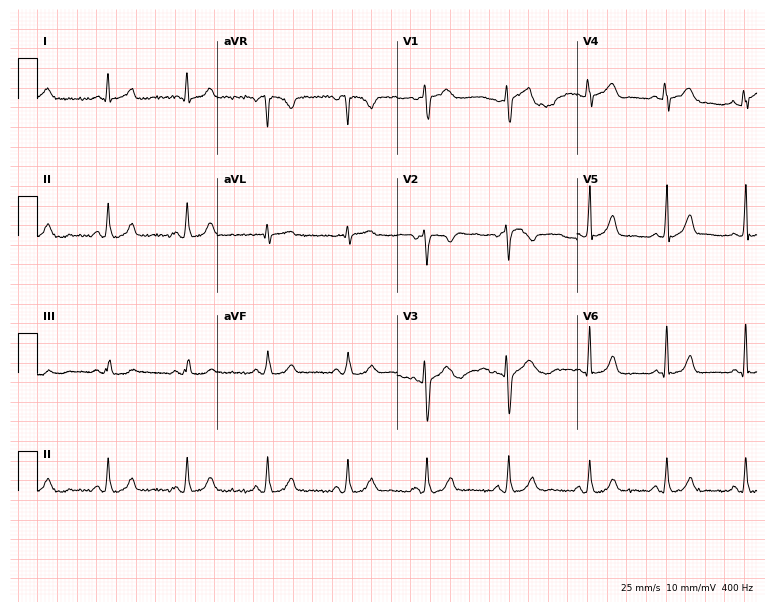
Resting 12-lead electrocardiogram. Patient: a female, 45 years old. Read as a normal ECG.